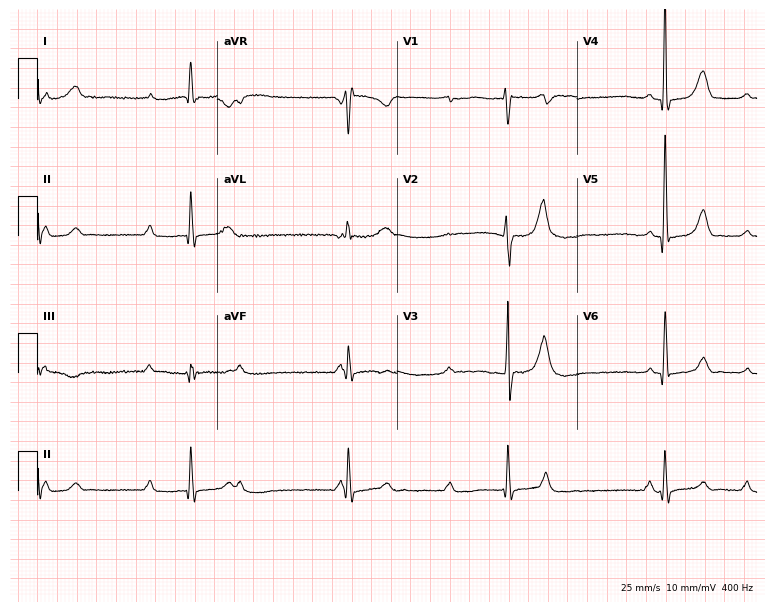
Standard 12-lead ECG recorded from a 28-year-old male (7.3-second recording at 400 Hz). The tracing shows sinus bradycardia (a sinus rate of 50 beats per minute or less).